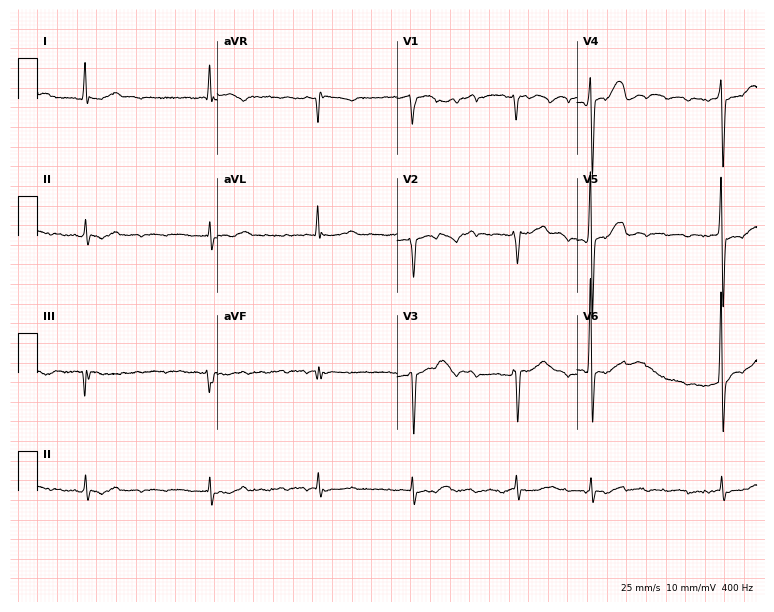
12-lead ECG (7.3-second recording at 400 Hz) from an 82-year-old male patient. Findings include atrial fibrillation (AF).